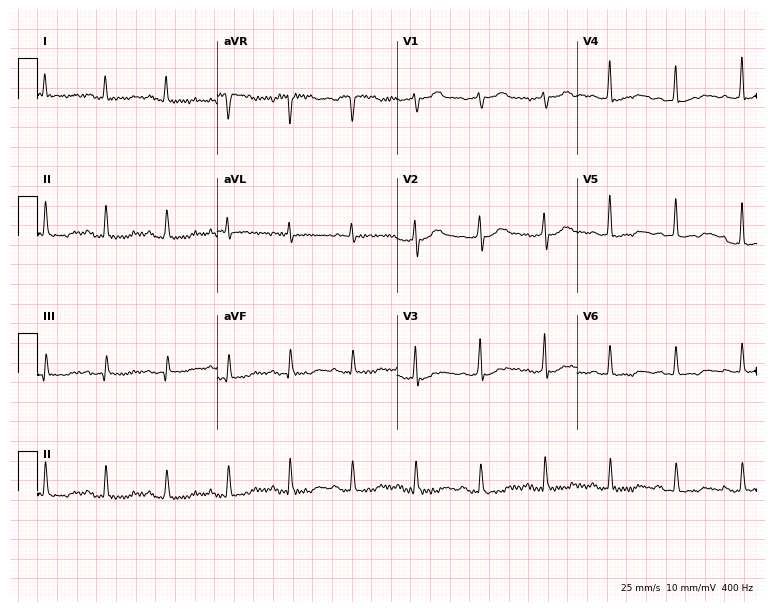
Electrocardiogram, a male, 46 years old. Of the six screened findings (first-degree AV block, right bundle branch block, left bundle branch block, sinus bradycardia, atrial fibrillation, sinus tachycardia), none is recorded.